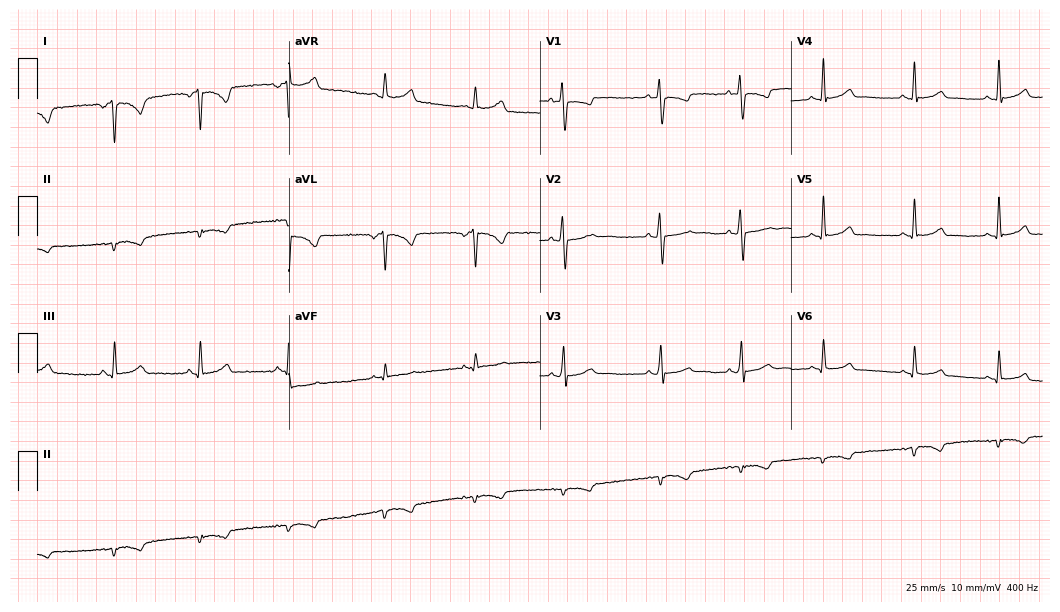
12-lead ECG from a female, 31 years old. No first-degree AV block, right bundle branch block (RBBB), left bundle branch block (LBBB), sinus bradycardia, atrial fibrillation (AF) or sinus tachycardia recorded for this tracing. Only these six findings were labelled.